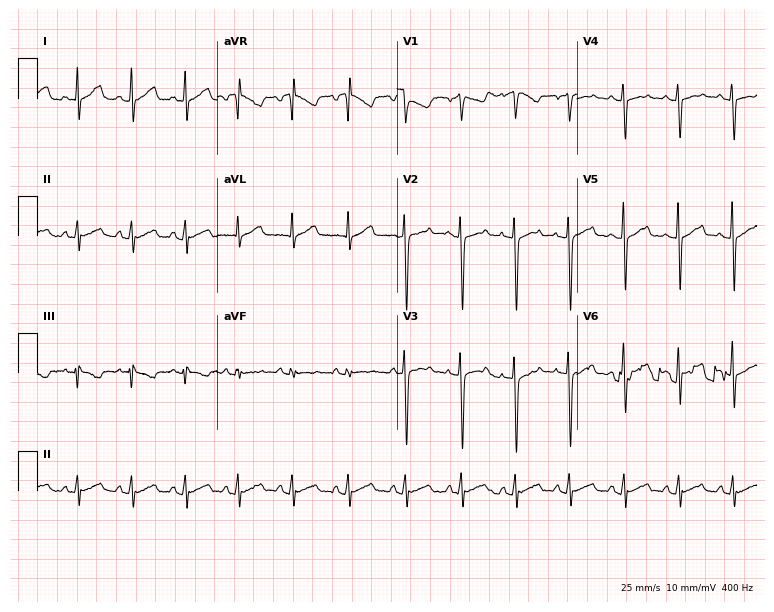
Standard 12-lead ECG recorded from a 29-year-old female patient. None of these six findings is recorded: first-degree AV block, right bundle branch block, left bundle branch block, sinus bradycardia, atrial fibrillation, sinus tachycardia.